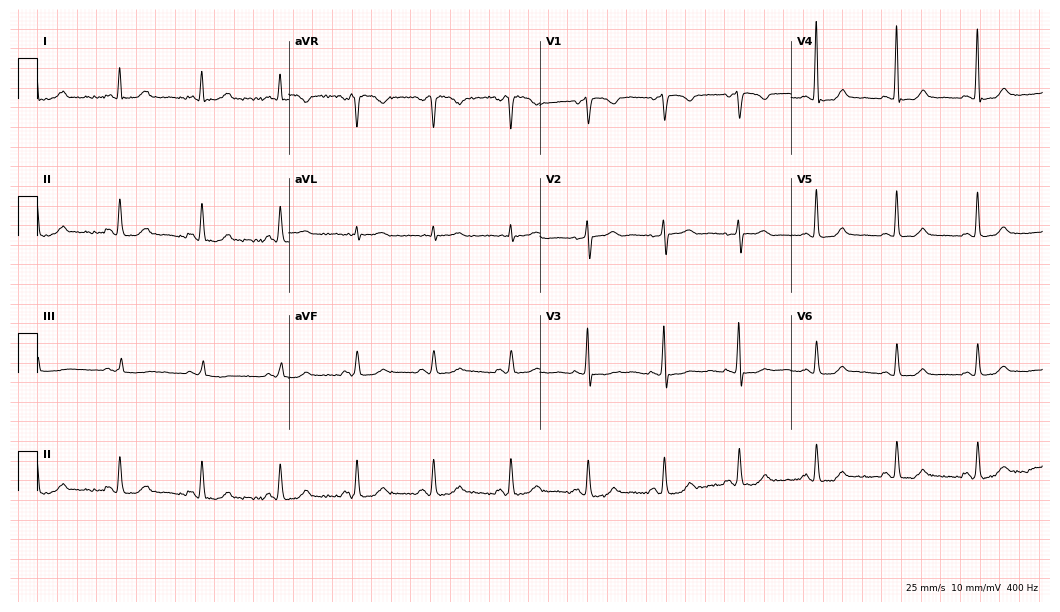
Standard 12-lead ECG recorded from a 53-year-old female patient. Read as a normal ECG.